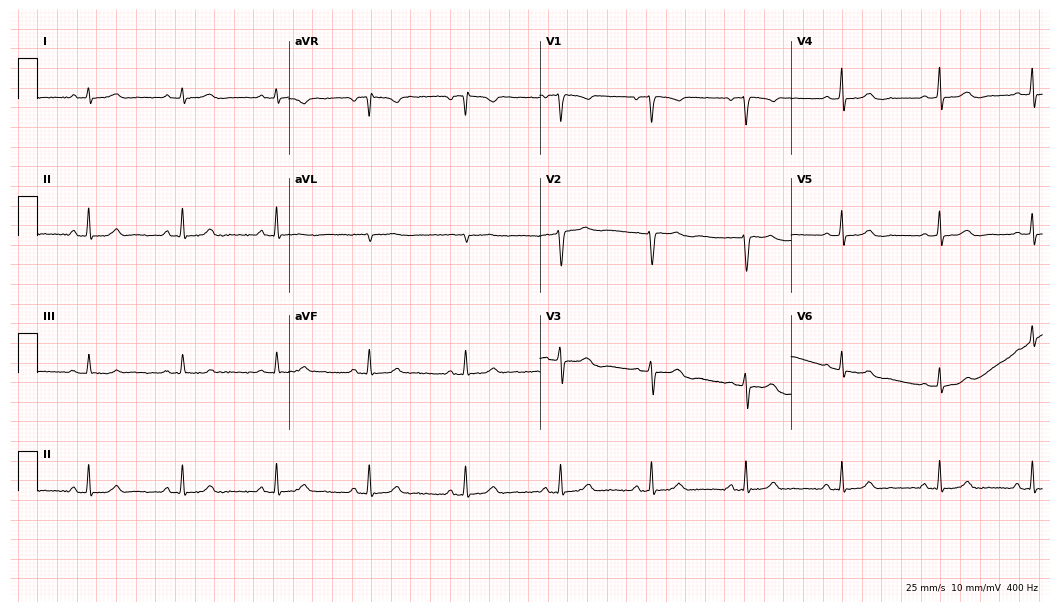
Standard 12-lead ECG recorded from a female patient, 43 years old. Read as a normal ECG.